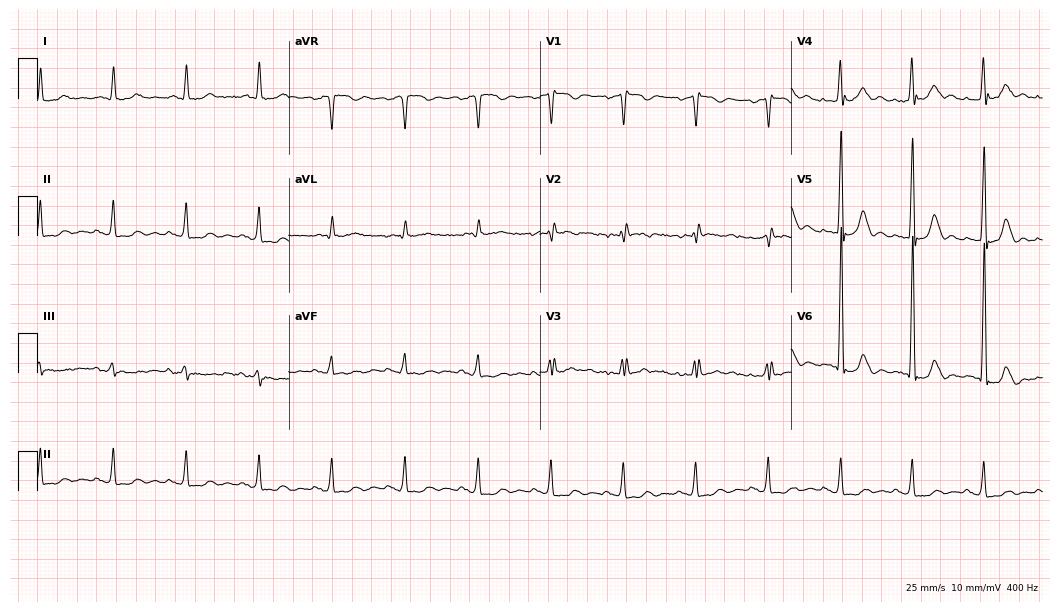
12-lead ECG (10.2-second recording at 400 Hz) from a 67-year-old man. Screened for six findings — first-degree AV block, right bundle branch block, left bundle branch block, sinus bradycardia, atrial fibrillation, sinus tachycardia — none is recorded. Other findings, if any, are not listed.